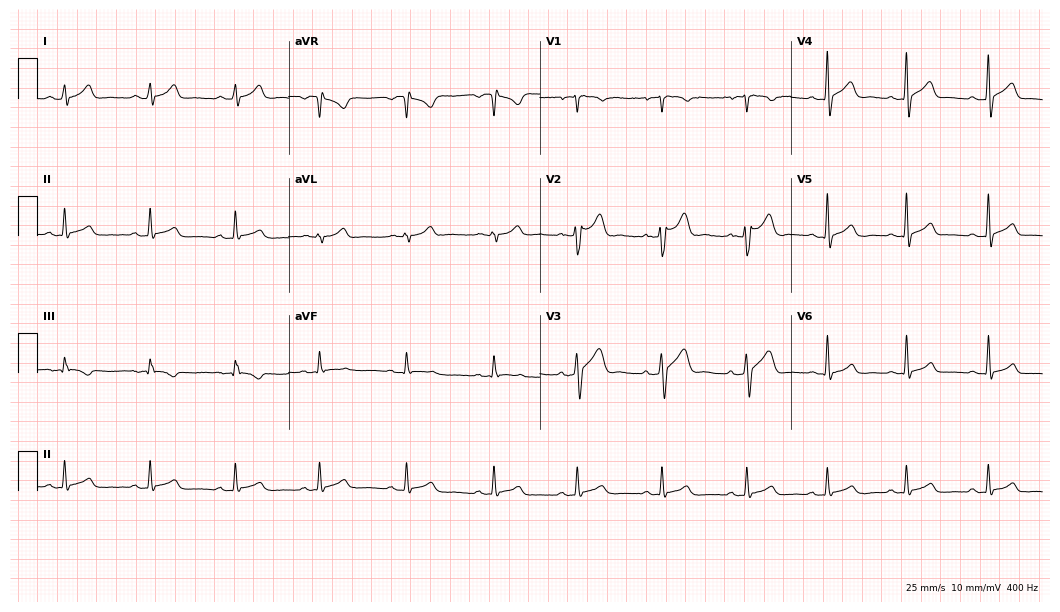
Electrocardiogram, a man, 27 years old. Overall reading on record: normal ECG.